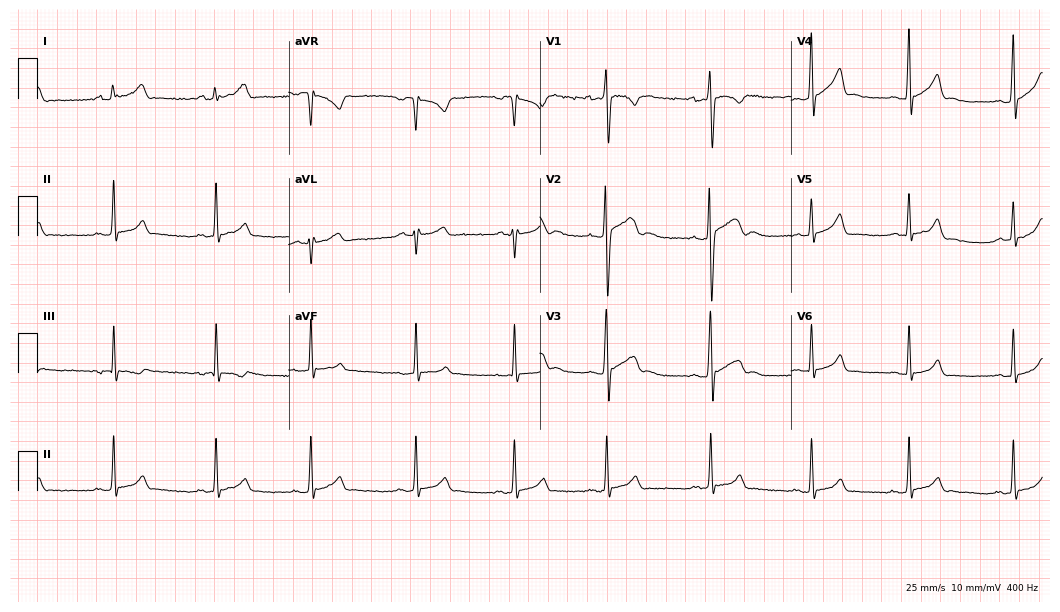
ECG (10.2-second recording at 400 Hz) — a male patient, 17 years old. Labelled as a normal ECG.